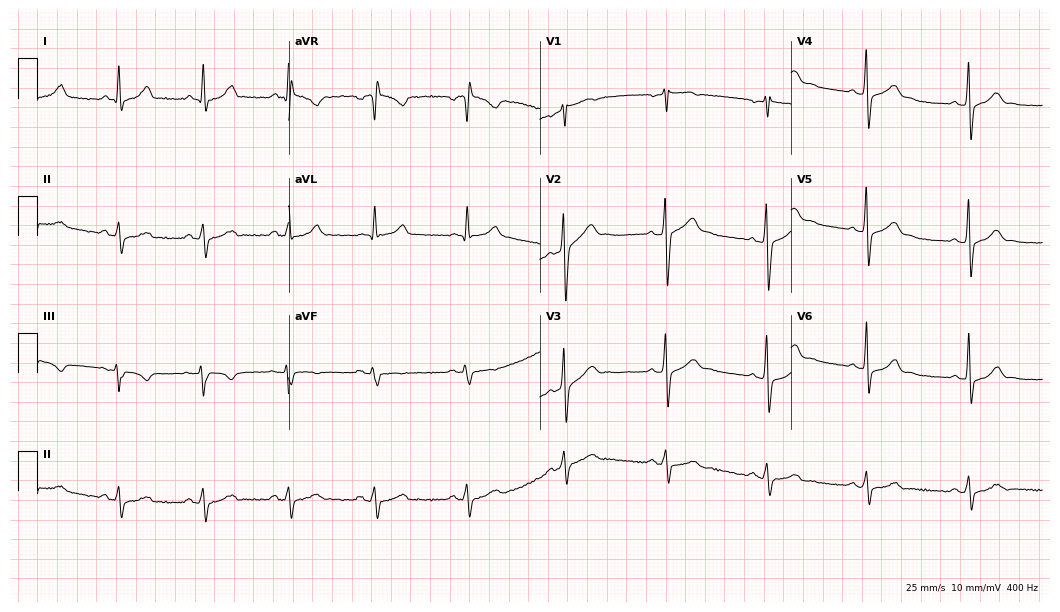
ECG (10.2-second recording at 400 Hz) — a male patient, 26 years old. Screened for six findings — first-degree AV block, right bundle branch block, left bundle branch block, sinus bradycardia, atrial fibrillation, sinus tachycardia — none is recorded.